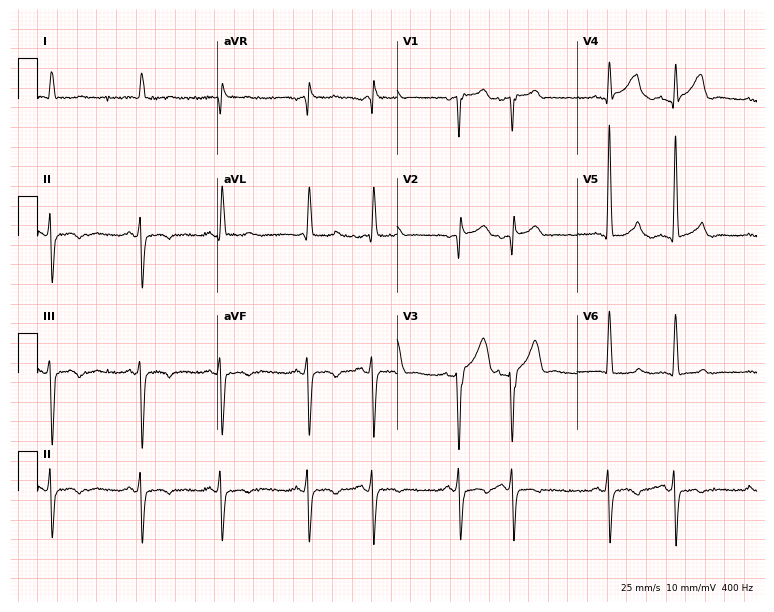
12-lead ECG from a male, 69 years old (7.3-second recording at 400 Hz). No first-degree AV block, right bundle branch block (RBBB), left bundle branch block (LBBB), sinus bradycardia, atrial fibrillation (AF) or sinus tachycardia recorded for this tracing.